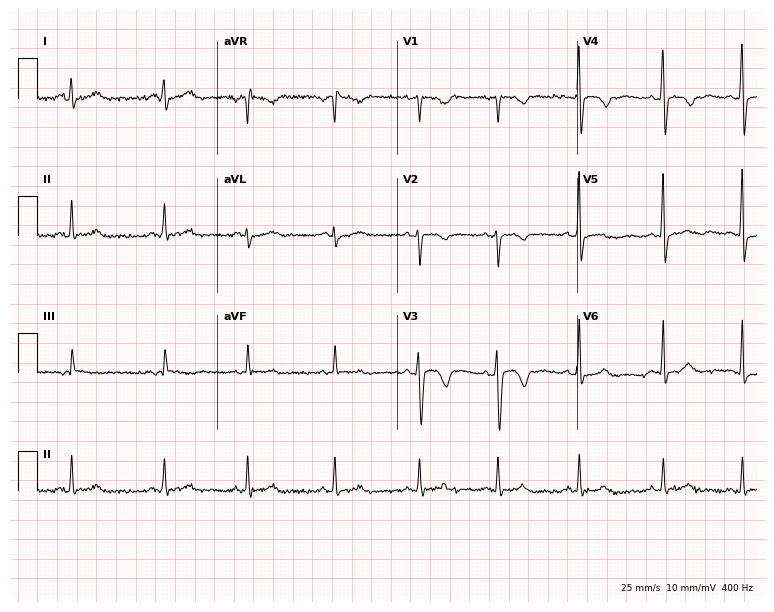
Resting 12-lead electrocardiogram (7.3-second recording at 400 Hz). Patient: a 28-year-old woman. None of these six findings is recorded: first-degree AV block, right bundle branch block, left bundle branch block, sinus bradycardia, atrial fibrillation, sinus tachycardia. Only these six findings were labelled.